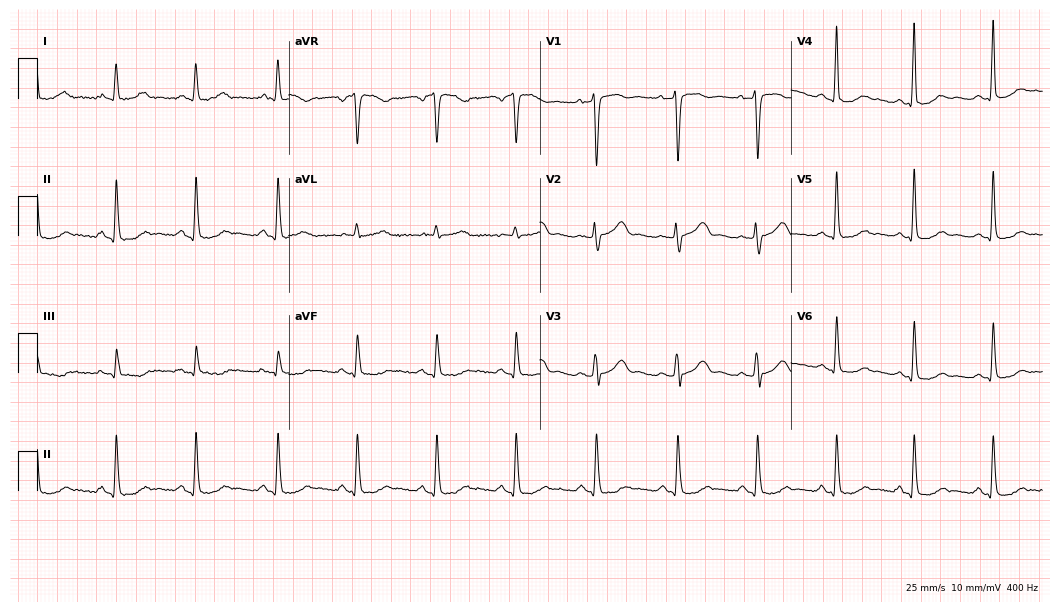
Resting 12-lead electrocardiogram. Patient: a female, 51 years old. None of these six findings is recorded: first-degree AV block, right bundle branch block, left bundle branch block, sinus bradycardia, atrial fibrillation, sinus tachycardia. Only these six findings were labelled.